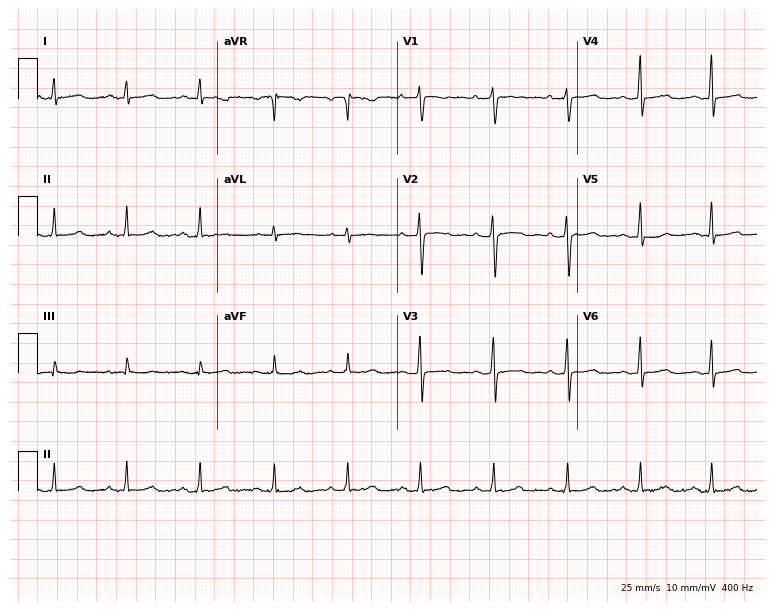
12-lead ECG (7.3-second recording at 400 Hz) from a woman, 33 years old. Screened for six findings — first-degree AV block, right bundle branch block (RBBB), left bundle branch block (LBBB), sinus bradycardia, atrial fibrillation (AF), sinus tachycardia — none is recorded. Findings outside these six are not listed.